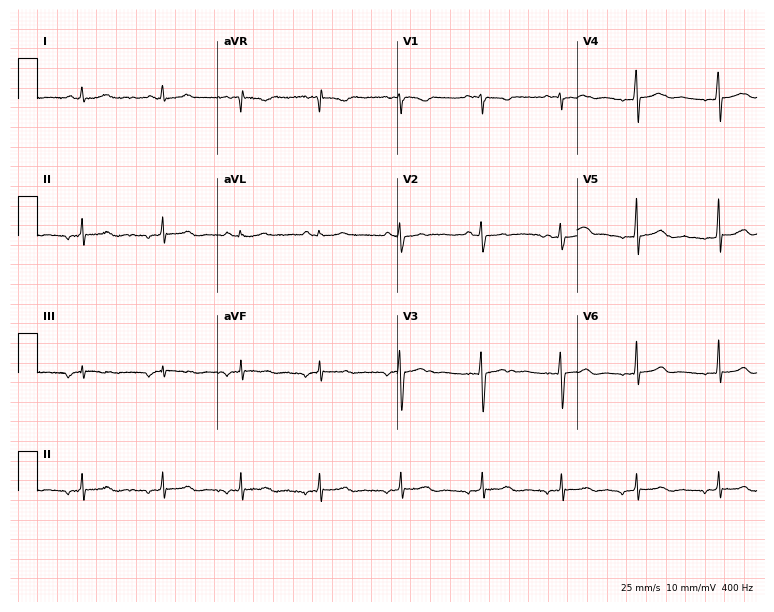
Resting 12-lead electrocardiogram. Patient: a 22-year-old female. None of these six findings is recorded: first-degree AV block, right bundle branch block, left bundle branch block, sinus bradycardia, atrial fibrillation, sinus tachycardia.